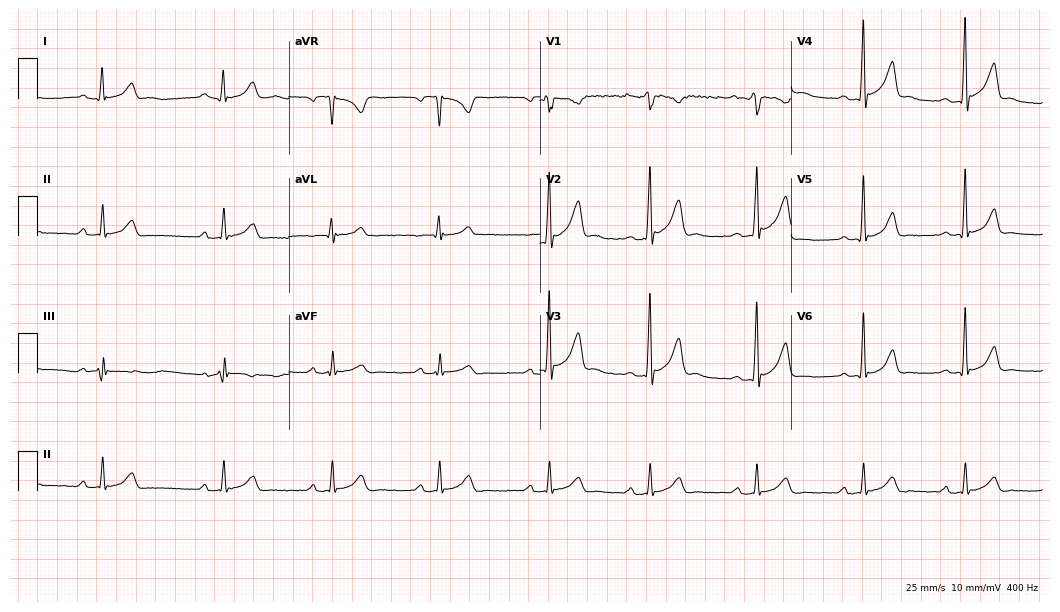
Resting 12-lead electrocardiogram (10.2-second recording at 400 Hz). Patient: a 29-year-old male. The tracing shows first-degree AV block.